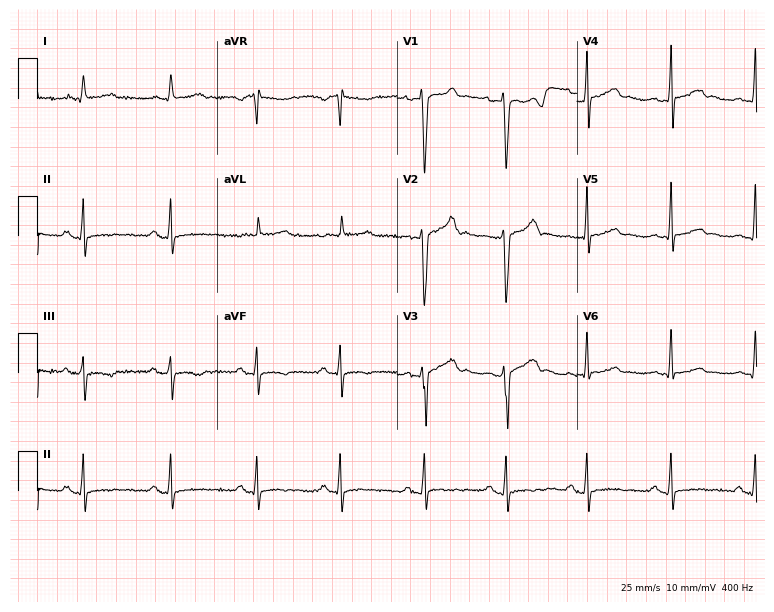
Resting 12-lead electrocardiogram (7.3-second recording at 400 Hz). Patient: a 24-year-old male. None of these six findings is recorded: first-degree AV block, right bundle branch block (RBBB), left bundle branch block (LBBB), sinus bradycardia, atrial fibrillation (AF), sinus tachycardia.